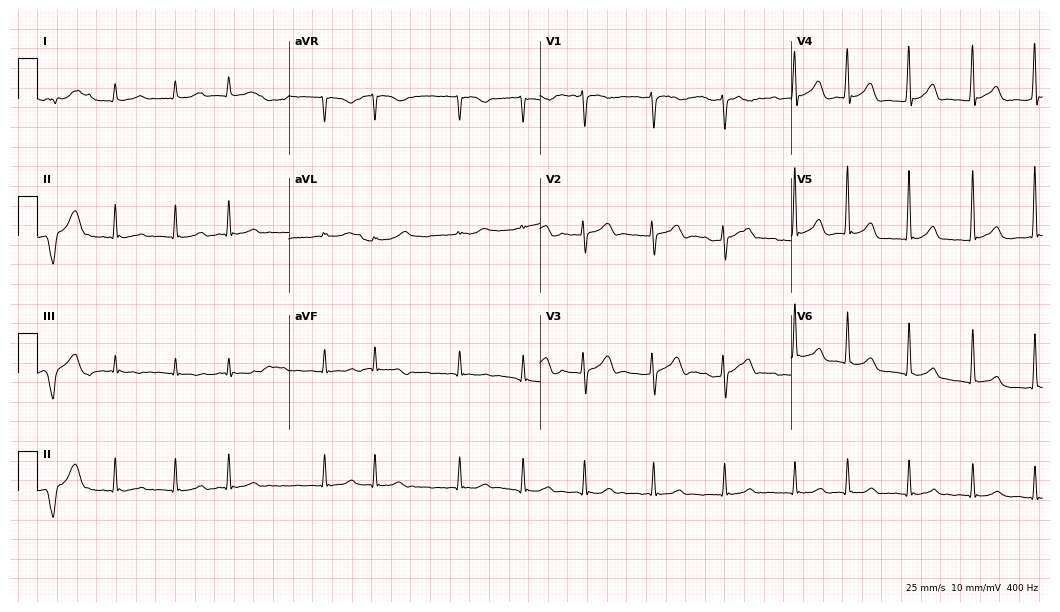
Standard 12-lead ECG recorded from a male, 76 years old (10.2-second recording at 400 Hz). The tracing shows atrial fibrillation.